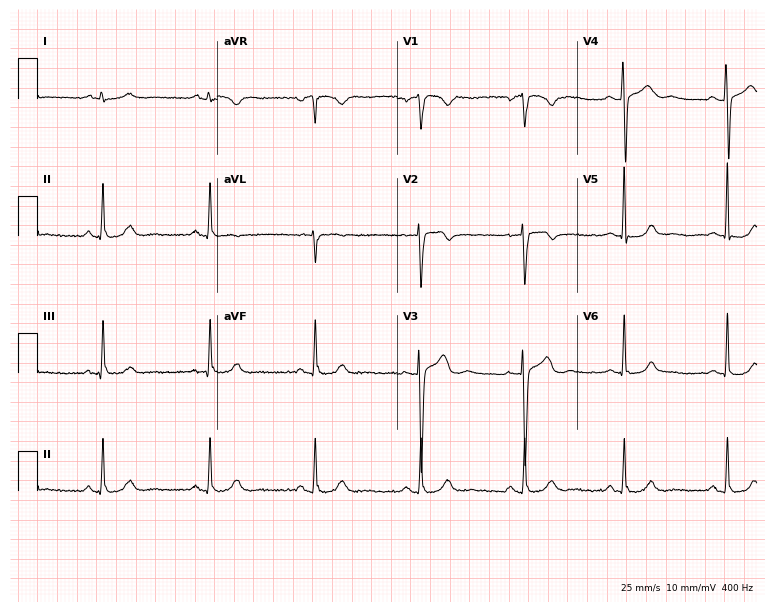
Electrocardiogram, a man, 20 years old. Overall reading on record: normal ECG.